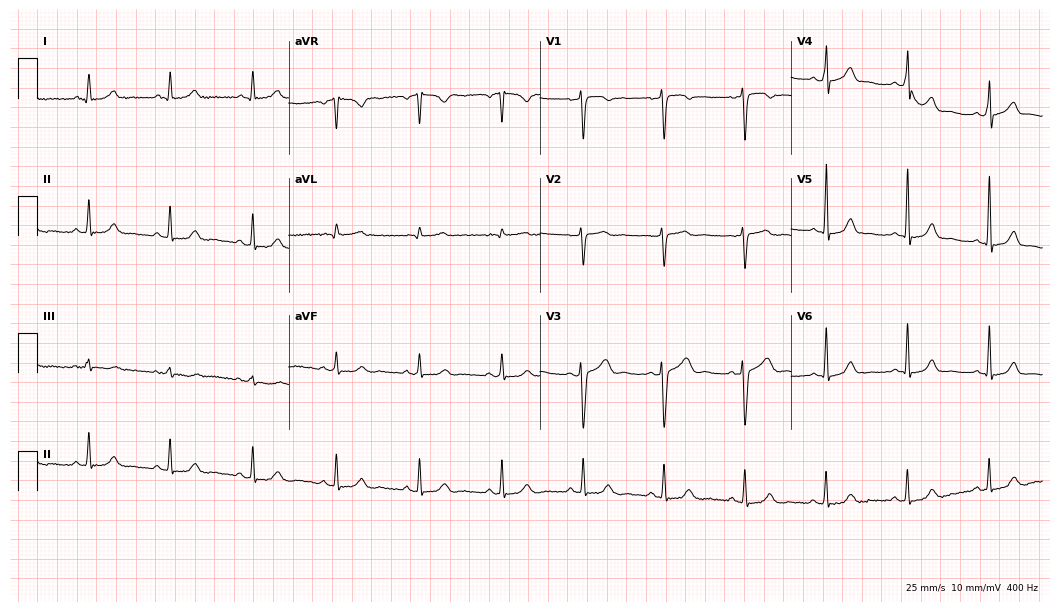
Standard 12-lead ECG recorded from a female patient, 46 years old (10.2-second recording at 400 Hz). Read as a normal ECG.